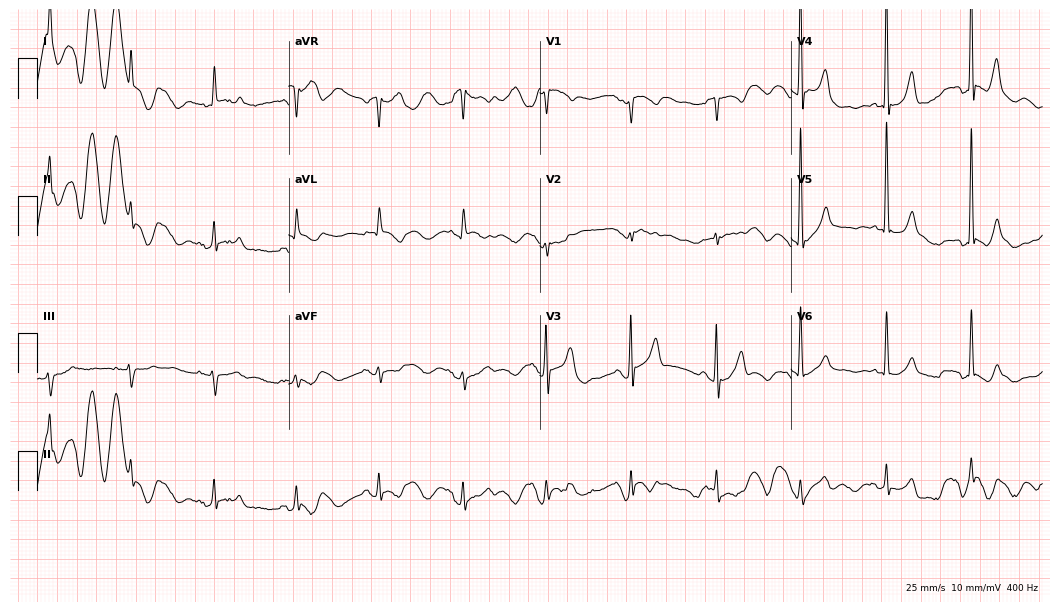
12-lead ECG from a male patient, 74 years old. No first-degree AV block, right bundle branch block, left bundle branch block, sinus bradycardia, atrial fibrillation or sinus tachycardia recorded for this tracing. Other findings, if any, are not listed.